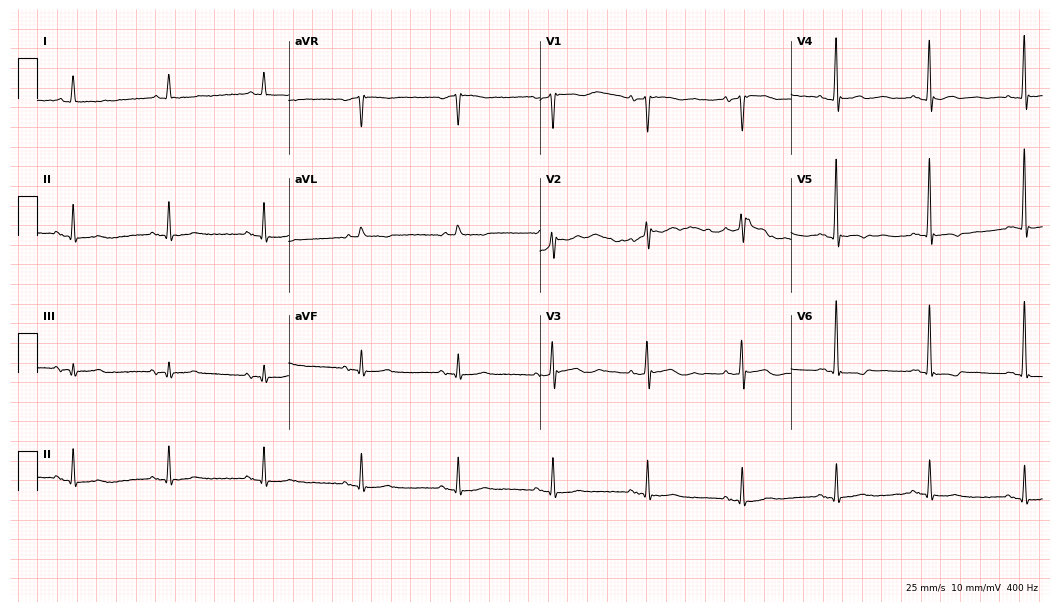
12-lead ECG from a man, 85 years old. Screened for six findings — first-degree AV block, right bundle branch block, left bundle branch block, sinus bradycardia, atrial fibrillation, sinus tachycardia — none is recorded.